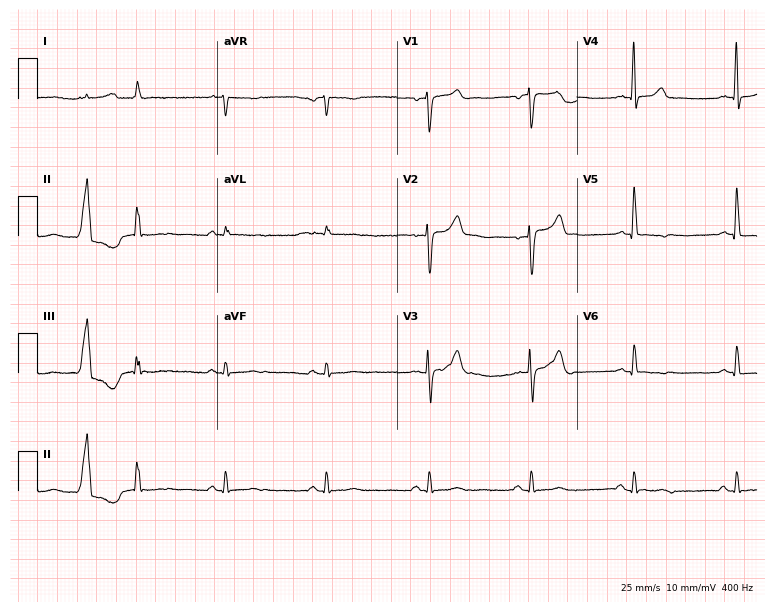
12-lead ECG from a 77-year-old male (7.3-second recording at 400 Hz). No first-degree AV block, right bundle branch block, left bundle branch block, sinus bradycardia, atrial fibrillation or sinus tachycardia recorded for this tracing.